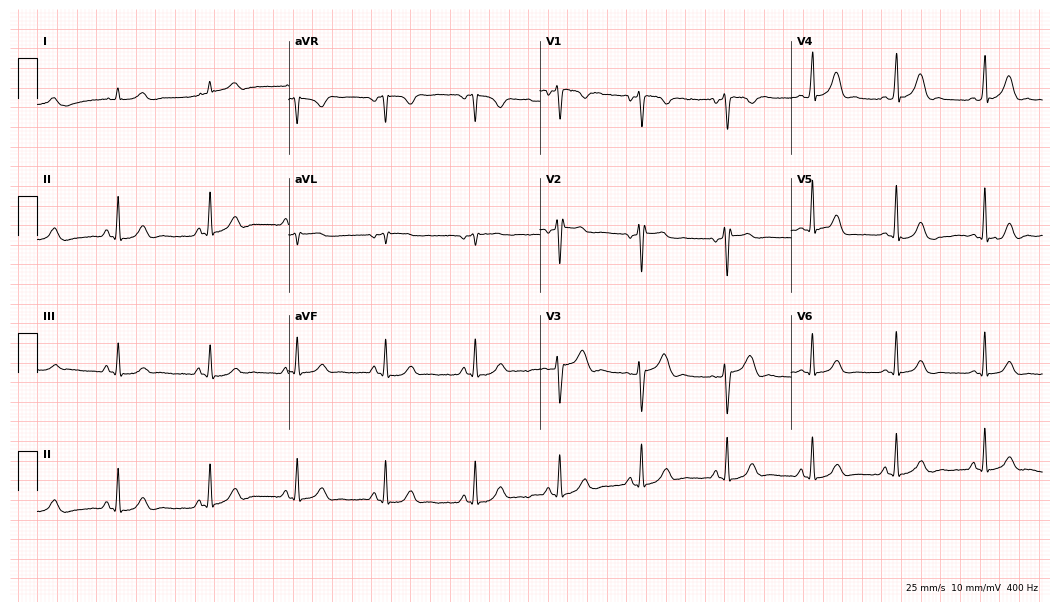
12-lead ECG from a male patient, 24 years old. Labelled as a normal ECG.